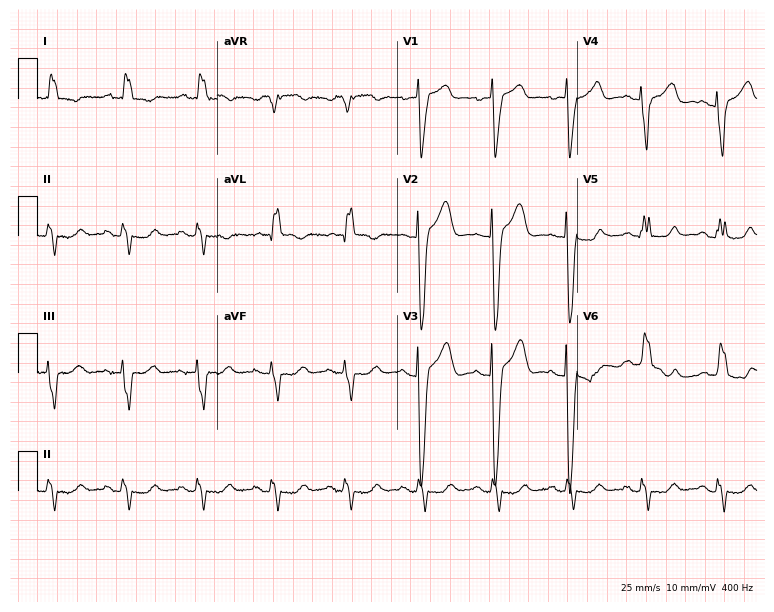
Electrocardiogram, a female, 80 years old. Of the six screened findings (first-degree AV block, right bundle branch block, left bundle branch block, sinus bradycardia, atrial fibrillation, sinus tachycardia), none is recorded. Other findings, if any, are not listed.